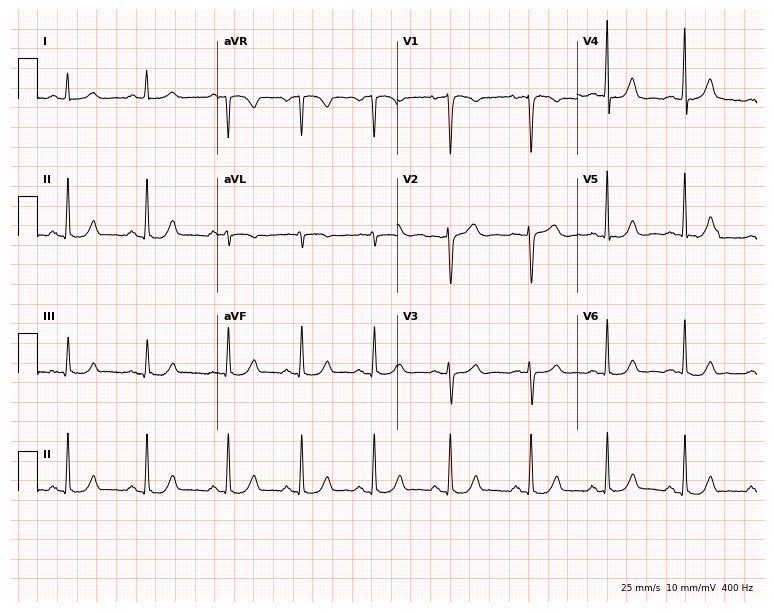
12-lead ECG from a woman, 43 years old. Screened for six findings — first-degree AV block, right bundle branch block, left bundle branch block, sinus bradycardia, atrial fibrillation, sinus tachycardia — none is recorded.